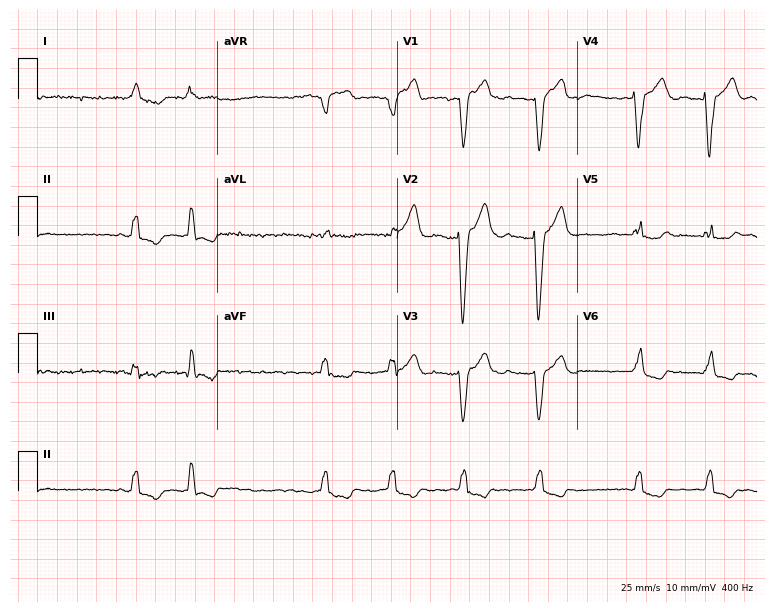
Standard 12-lead ECG recorded from a man, 63 years old (7.3-second recording at 400 Hz). The tracing shows left bundle branch block.